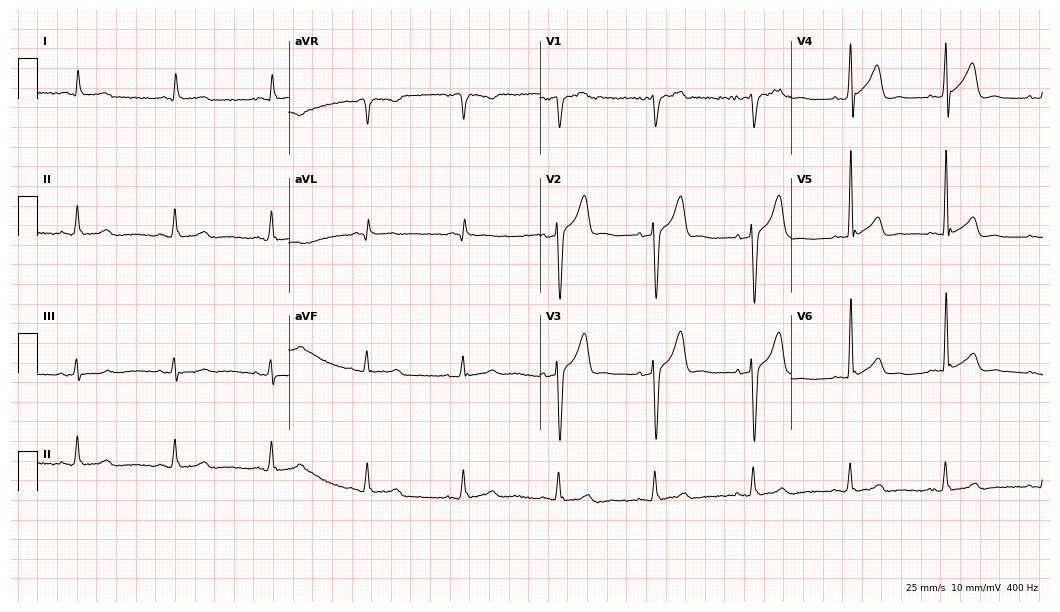
ECG — a male, 76 years old. Labelled as a normal ECG.